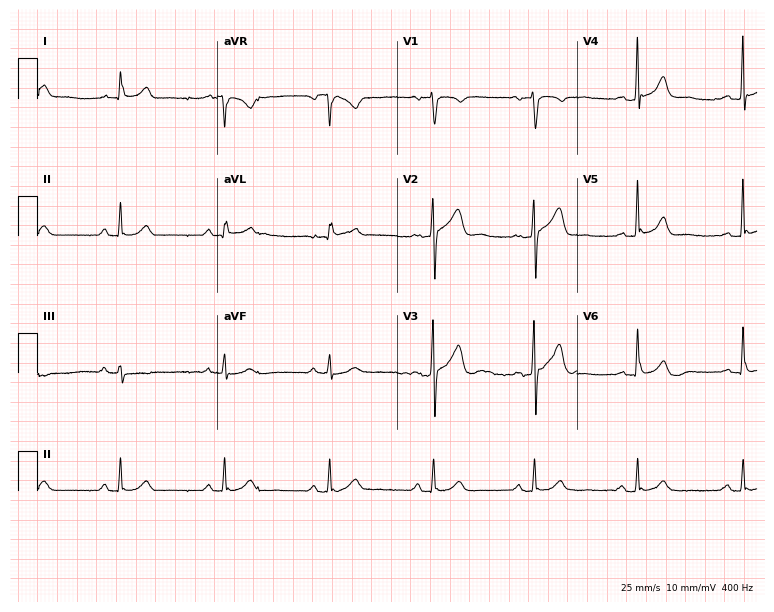
Resting 12-lead electrocardiogram (7.3-second recording at 400 Hz). Patient: a male, 47 years old. None of these six findings is recorded: first-degree AV block, right bundle branch block, left bundle branch block, sinus bradycardia, atrial fibrillation, sinus tachycardia. Other findings, if any, are not listed.